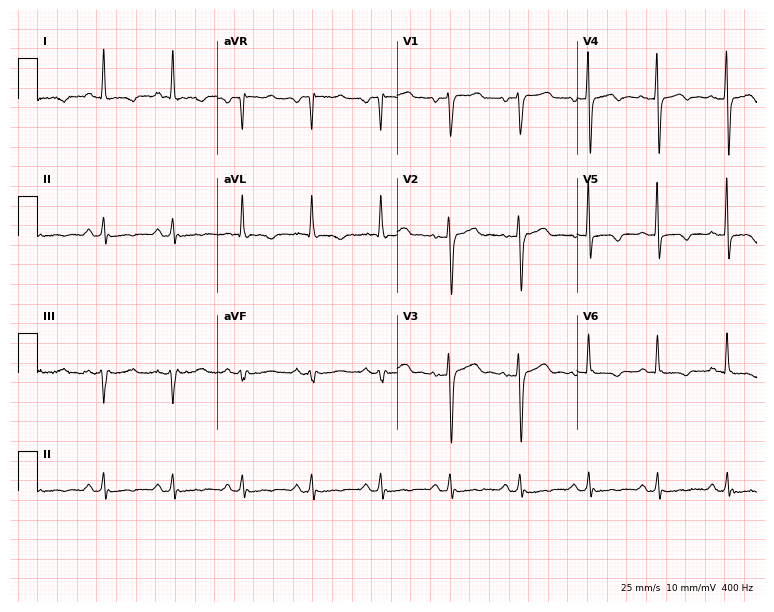
12-lead ECG (7.3-second recording at 400 Hz) from a 58-year-old woman. Screened for six findings — first-degree AV block, right bundle branch block, left bundle branch block, sinus bradycardia, atrial fibrillation, sinus tachycardia — none is recorded. Other findings, if any, are not listed.